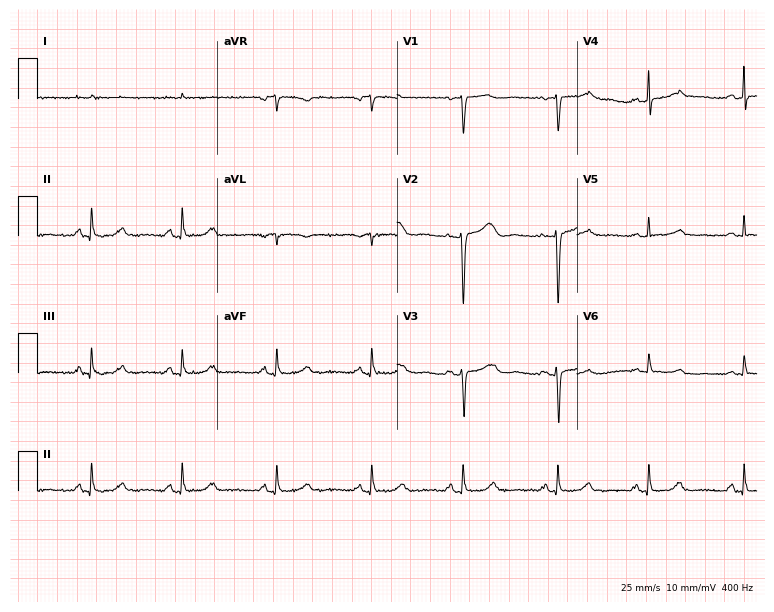
12-lead ECG (7.3-second recording at 400 Hz) from a woman, 85 years old. Screened for six findings — first-degree AV block, right bundle branch block (RBBB), left bundle branch block (LBBB), sinus bradycardia, atrial fibrillation (AF), sinus tachycardia — none is recorded. Findings outside these six are not listed.